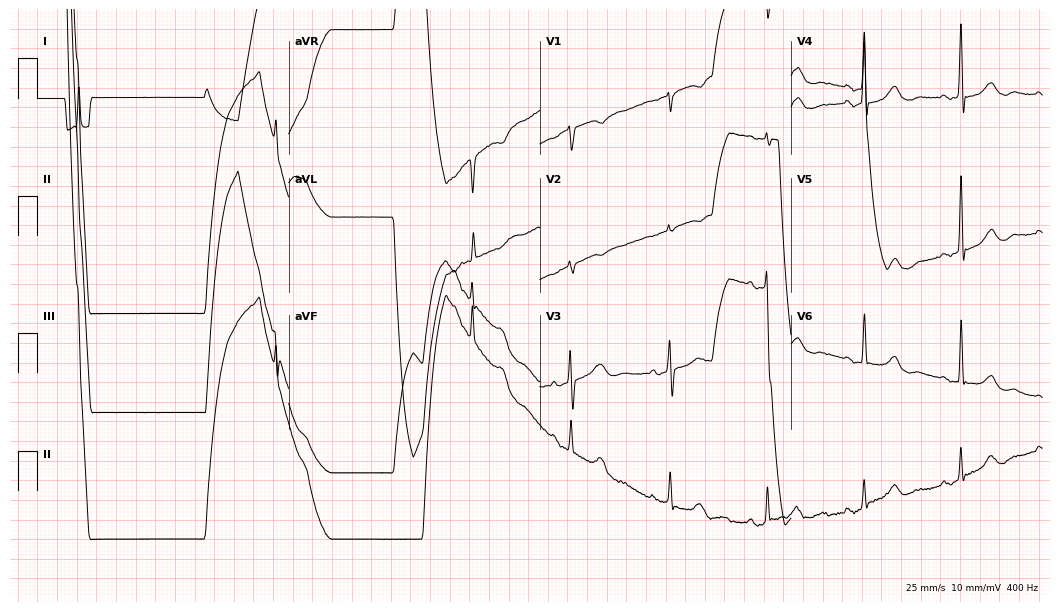
12-lead ECG from an 82-year-old woman. Screened for six findings — first-degree AV block, right bundle branch block (RBBB), left bundle branch block (LBBB), sinus bradycardia, atrial fibrillation (AF), sinus tachycardia — none is recorded. Only these six findings were labelled.